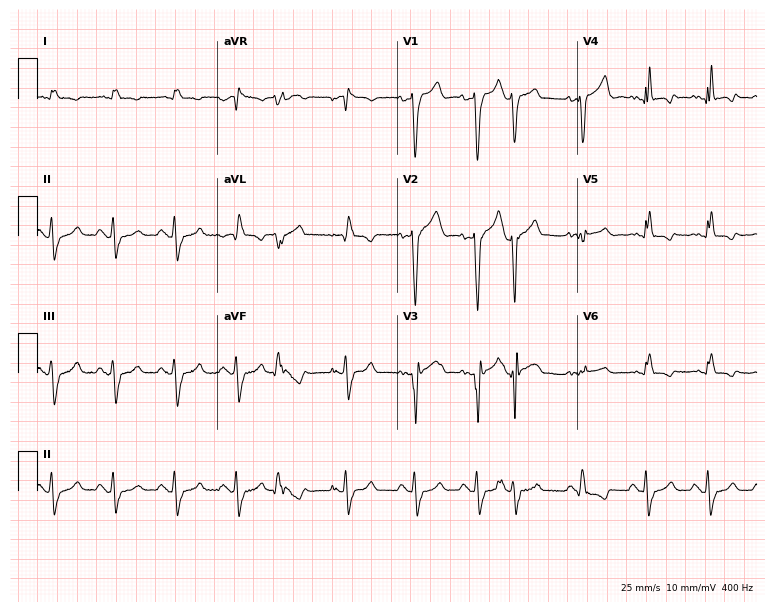
Resting 12-lead electrocardiogram (7.3-second recording at 400 Hz). Patient: an 81-year-old male. None of these six findings is recorded: first-degree AV block, right bundle branch block (RBBB), left bundle branch block (LBBB), sinus bradycardia, atrial fibrillation (AF), sinus tachycardia. Other findings, if any, are not listed.